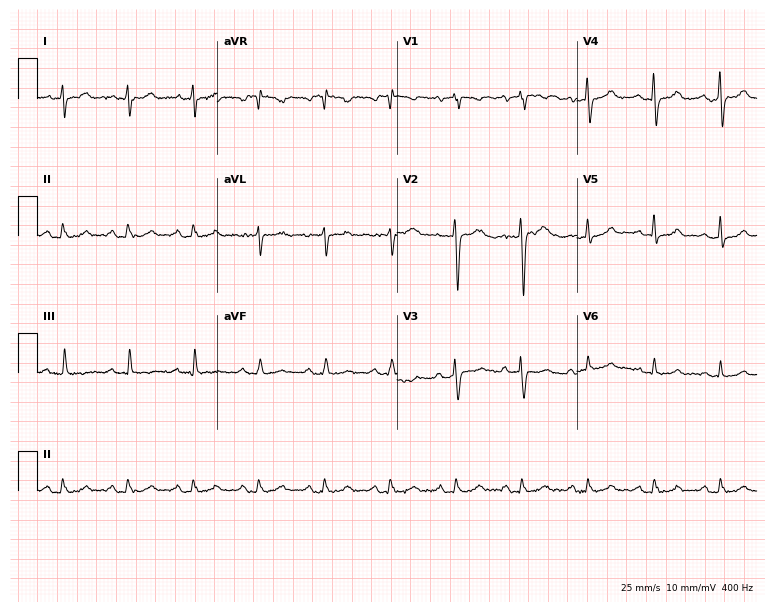
12-lead ECG from a male patient, 62 years old (7.3-second recording at 400 Hz). Recorded interpretation: within normal limits.